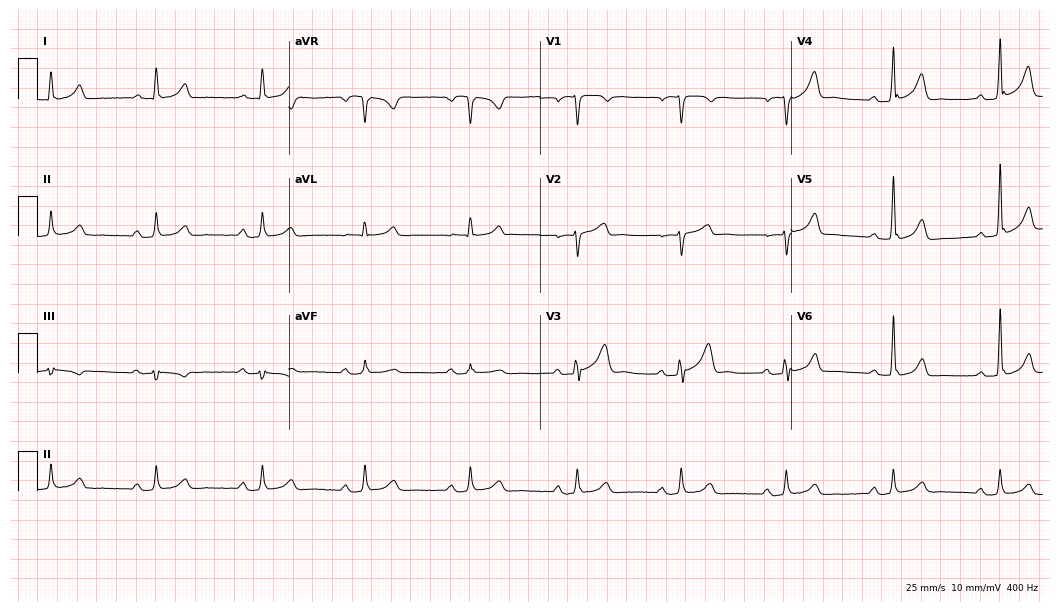
12-lead ECG from a man, 55 years old (10.2-second recording at 400 Hz). Recorded interpretation: within normal limits.